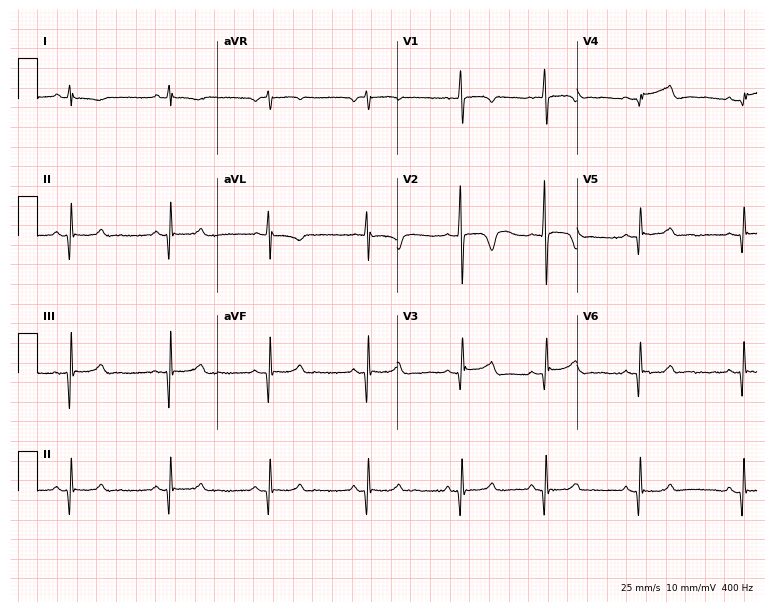
Electrocardiogram (7.3-second recording at 400 Hz), a female, 27 years old. Of the six screened findings (first-degree AV block, right bundle branch block (RBBB), left bundle branch block (LBBB), sinus bradycardia, atrial fibrillation (AF), sinus tachycardia), none is recorded. Other findings, if any, are not listed.